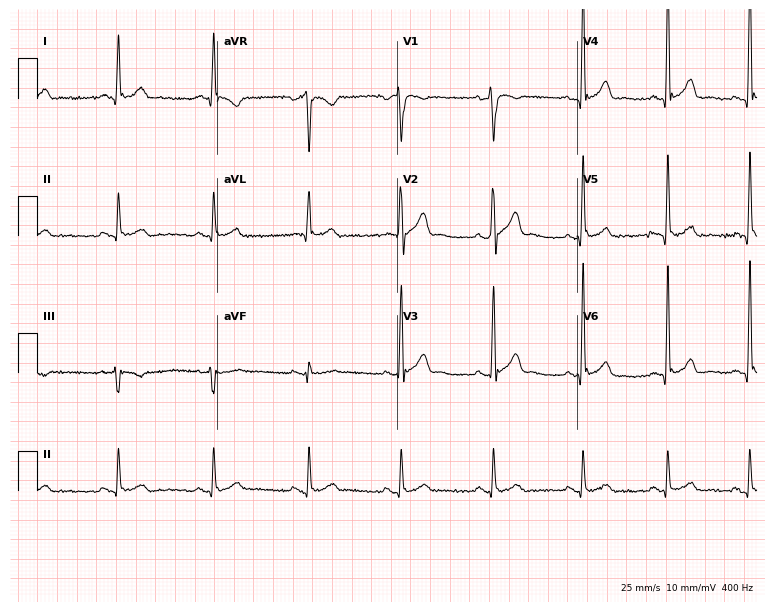
Standard 12-lead ECG recorded from a 44-year-old male patient (7.3-second recording at 400 Hz). None of these six findings is recorded: first-degree AV block, right bundle branch block (RBBB), left bundle branch block (LBBB), sinus bradycardia, atrial fibrillation (AF), sinus tachycardia.